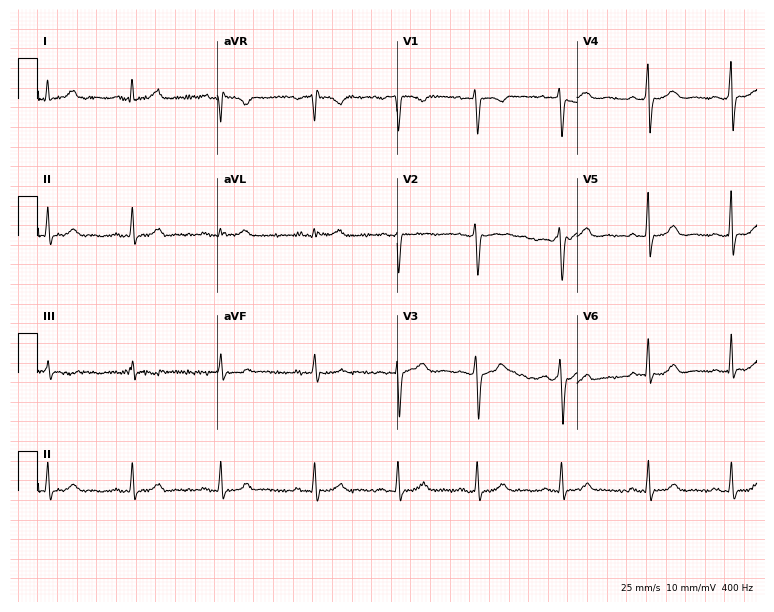
Standard 12-lead ECG recorded from a woman, 33 years old. None of these six findings is recorded: first-degree AV block, right bundle branch block (RBBB), left bundle branch block (LBBB), sinus bradycardia, atrial fibrillation (AF), sinus tachycardia.